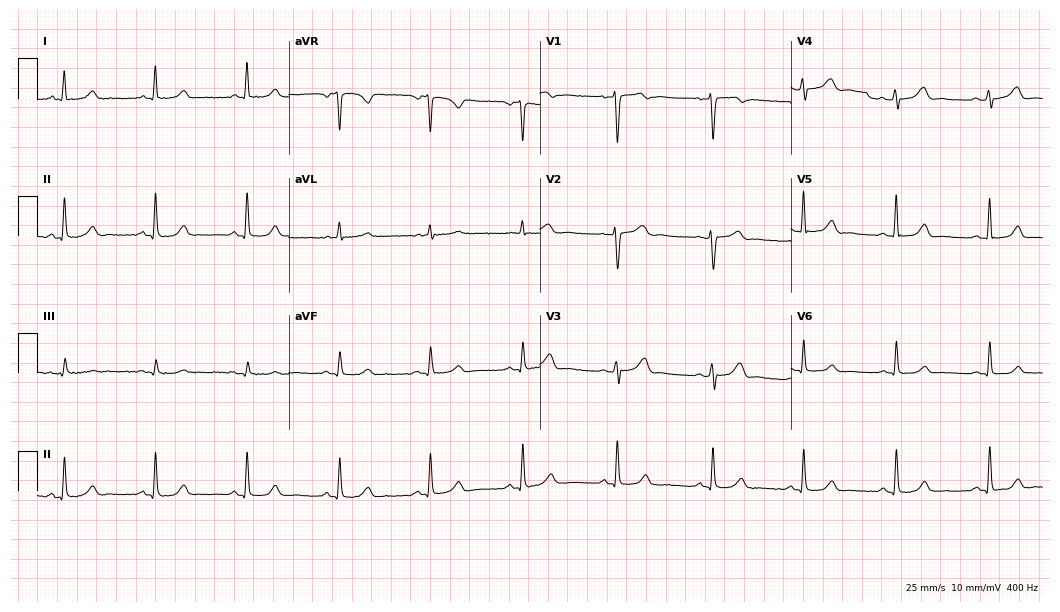
Standard 12-lead ECG recorded from a 47-year-old female. Read as a normal ECG.